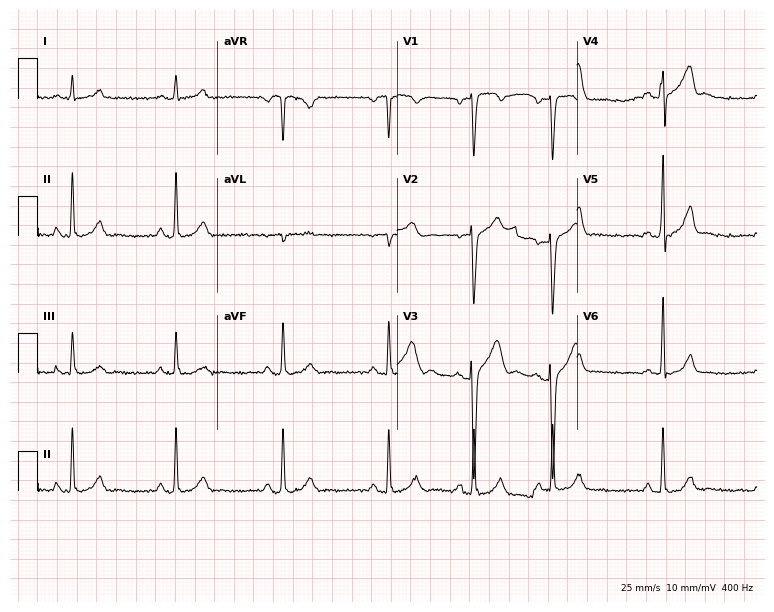
ECG (7.3-second recording at 400 Hz) — a 28-year-old male patient. Labelled as a normal ECG.